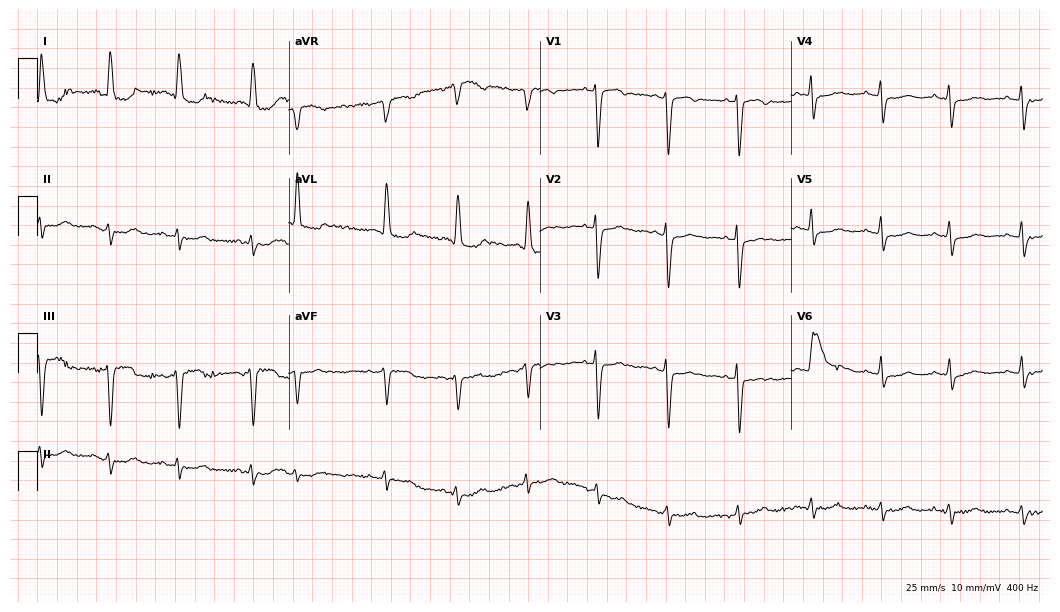
Electrocardiogram, an 83-year-old woman. Of the six screened findings (first-degree AV block, right bundle branch block, left bundle branch block, sinus bradycardia, atrial fibrillation, sinus tachycardia), none is recorded. Only these six findings were labelled.